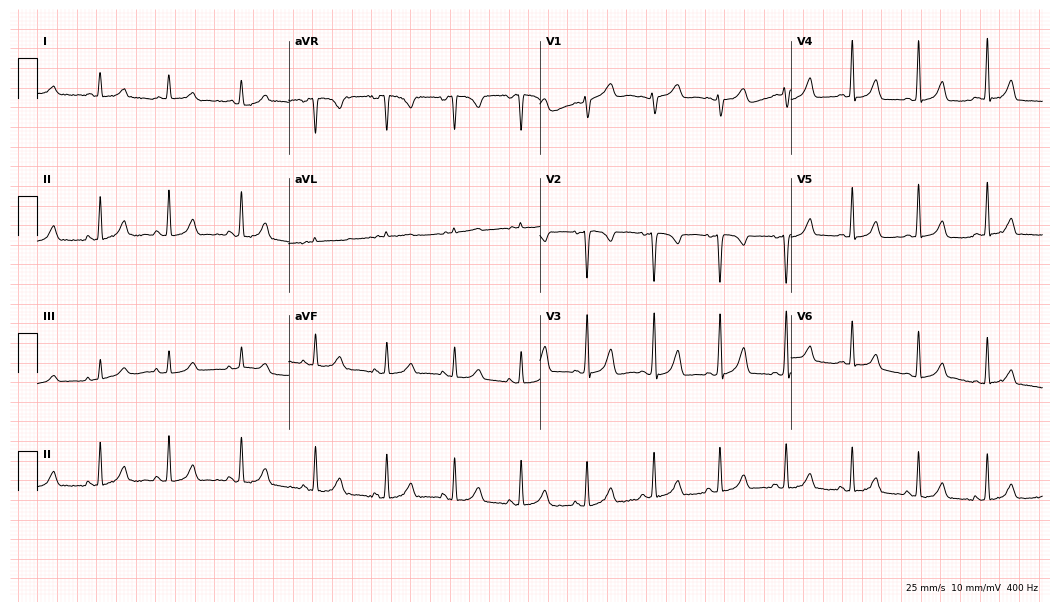
ECG (10.2-second recording at 400 Hz) — a female, 33 years old. Labelled as a normal ECG.